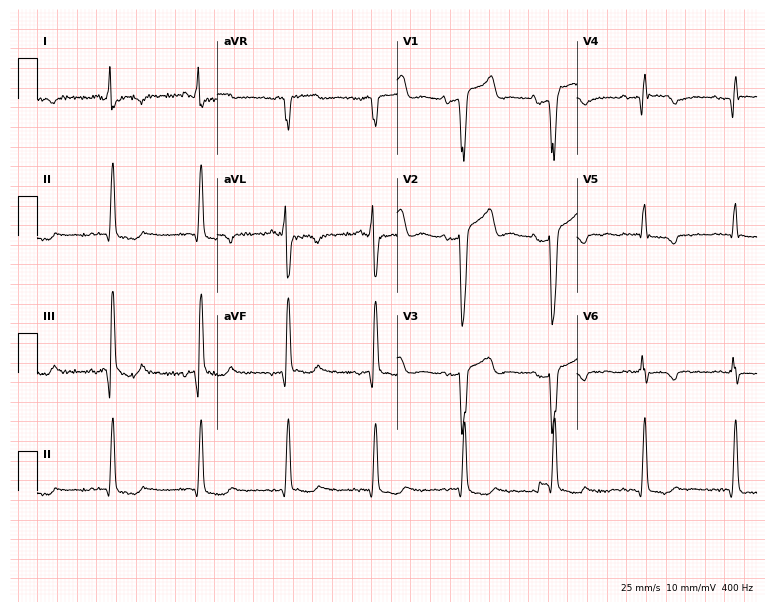
Electrocardiogram, a man, 69 years old. Of the six screened findings (first-degree AV block, right bundle branch block, left bundle branch block, sinus bradycardia, atrial fibrillation, sinus tachycardia), none is recorded. Other findings, if any, are not listed.